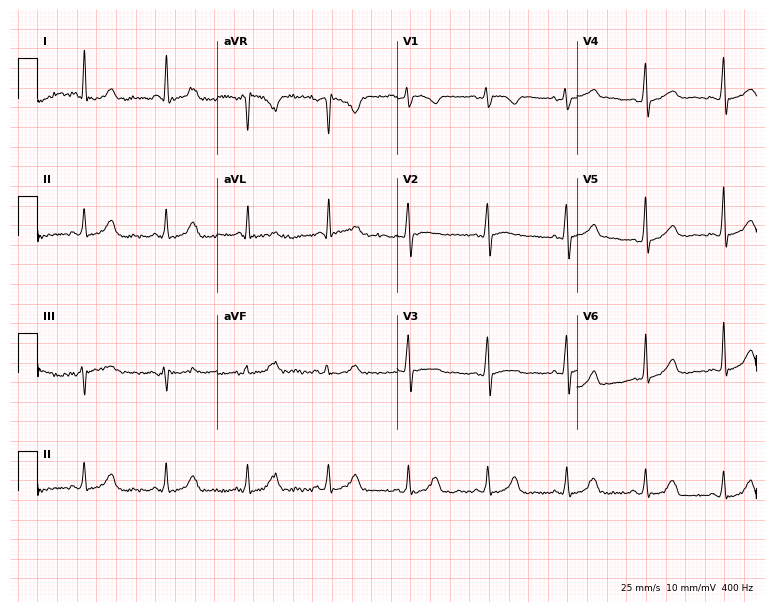
Standard 12-lead ECG recorded from a woman, 52 years old. None of these six findings is recorded: first-degree AV block, right bundle branch block, left bundle branch block, sinus bradycardia, atrial fibrillation, sinus tachycardia. Other findings, if any, are not listed.